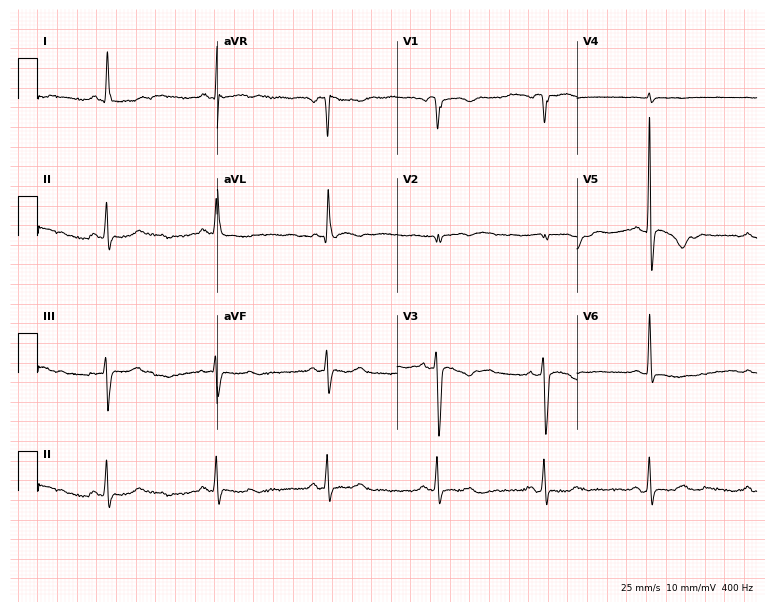
ECG (7.3-second recording at 400 Hz) — a 48-year-old woman. Screened for six findings — first-degree AV block, right bundle branch block, left bundle branch block, sinus bradycardia, atrial fibrillation, sinus tachycardia — none is recorded. Other findings, if any, are not listed.